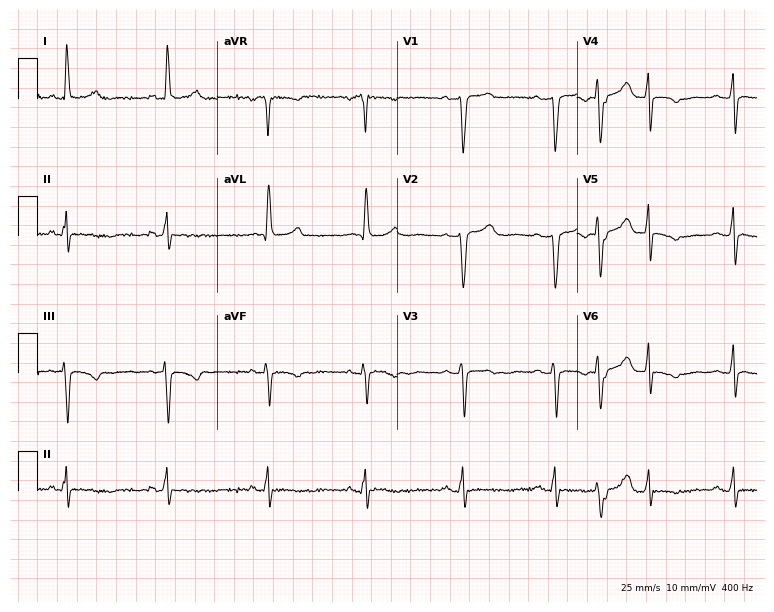
Resting 12-lead electrocardiogram (7.3-second recording at 400 Hz). Patient: a female, 72 years old. None of these six findings is recorded: first-degree AV block, right bundle branch block, left bundle branch block, sinus bradycardia, atrial fibrillation, sinus tachycardia.